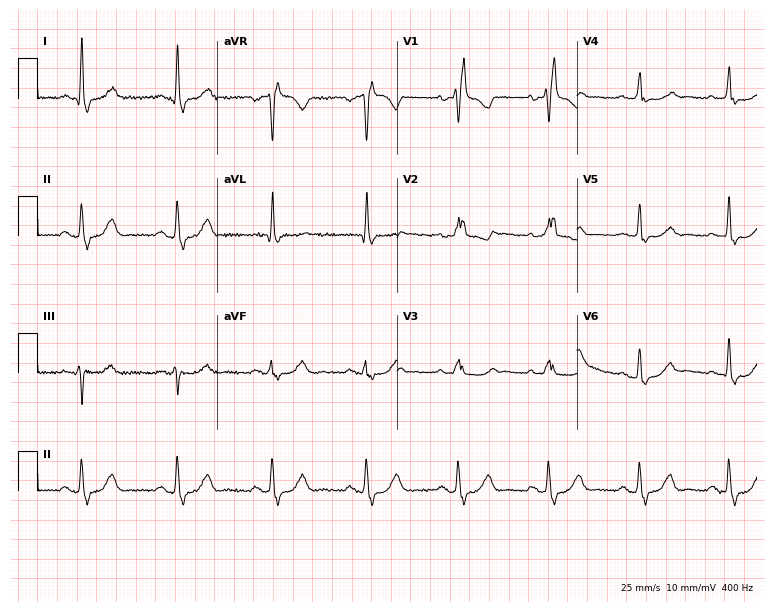
Standard 12-lead ECG recorded from a 76-year-old woman (7.3-second recording at 400 Hz). The tracing shows right bundle branch block.